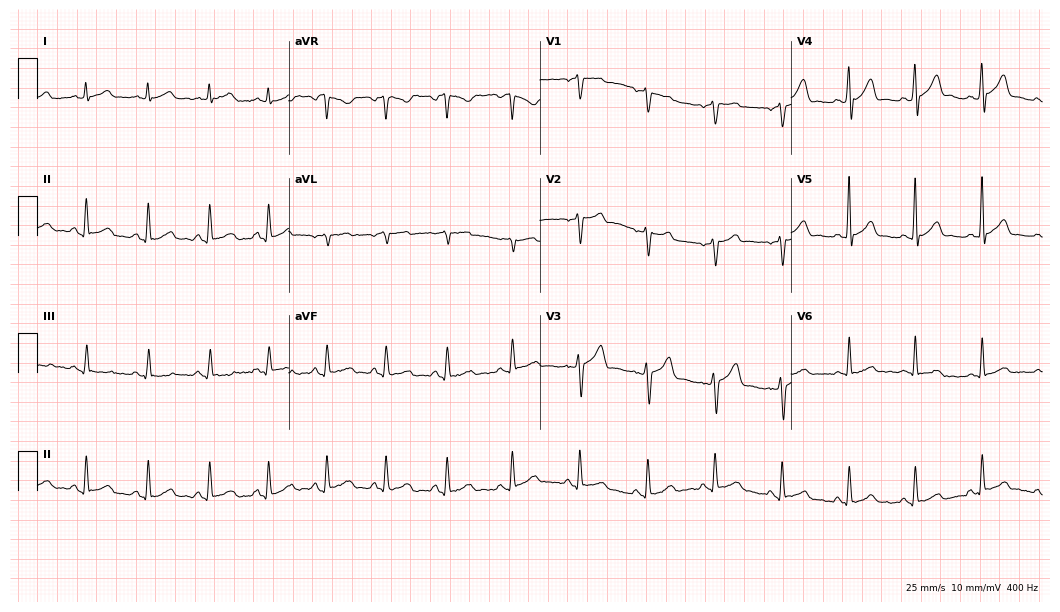
ECG — a man, 34 years old. Labelled as a normal ECG.